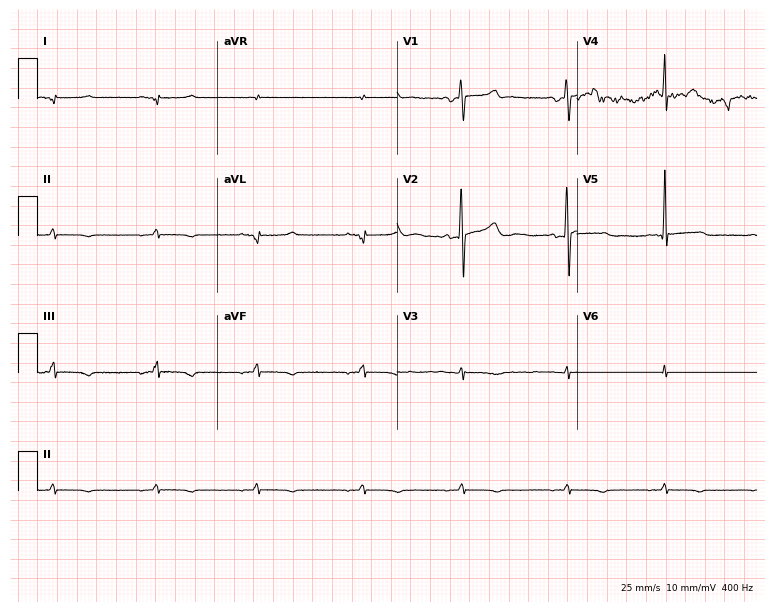
ECG (7.3-second recording at 400 Hz) — a 31-year-old woman. Screened for six findings — first-degree AV block, right bundle branch block (RBBB), left bundle branch block (LBBB), sinus bradycardia, atrial fibrillation (AF), sinus tachycardia — none is recorded. Findings outside these six are not listed.